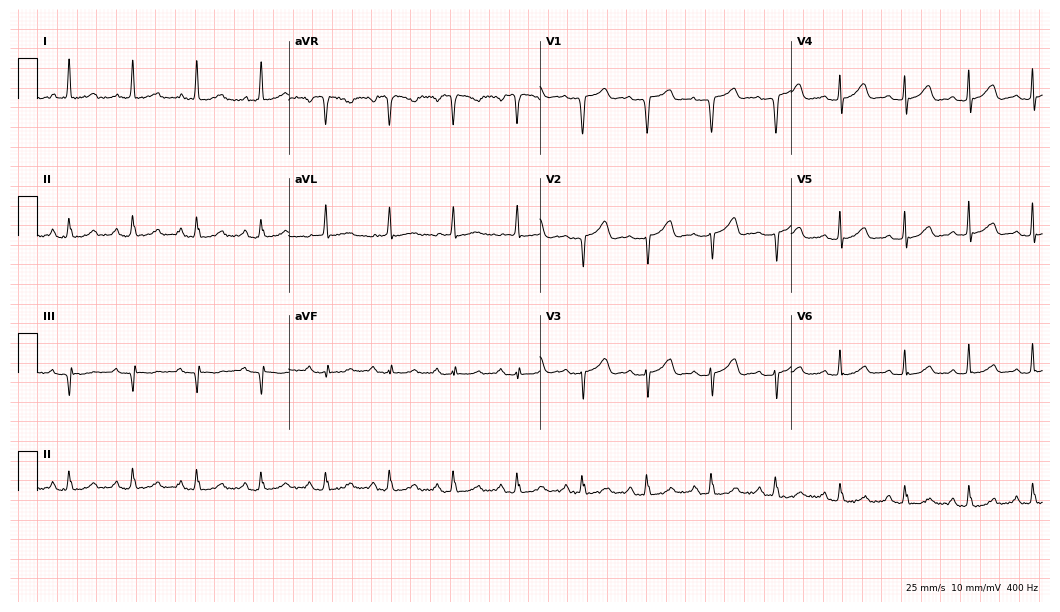
ECG (10.2-second recording at 400 Hz) — an 83-year-old woman. Screened for six findings — first-degree AV block, right bundle branch block (RBBB), left bundle branch block (LBBB), sinus bradycardia, atrial fibrillation (AF), sinus tachycardia — none is recorded.